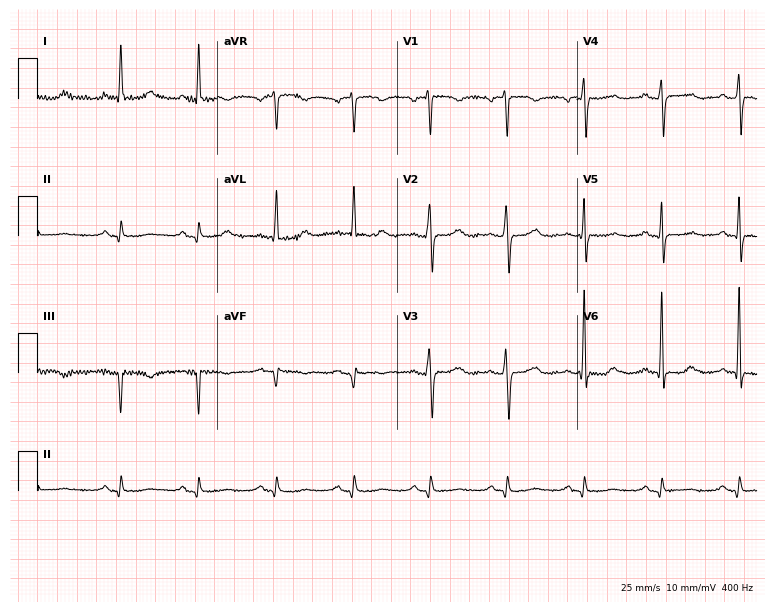
12-lead ECG from an 85-year-old female patient. No first-degree AV block, right bundle branch block (RBBB), left bundle branch block (LBBB), sinus bradycardia, atrial fibrillation (AF) or sinus tachycardia recorded for this tracing. Only these six findings were labelled.